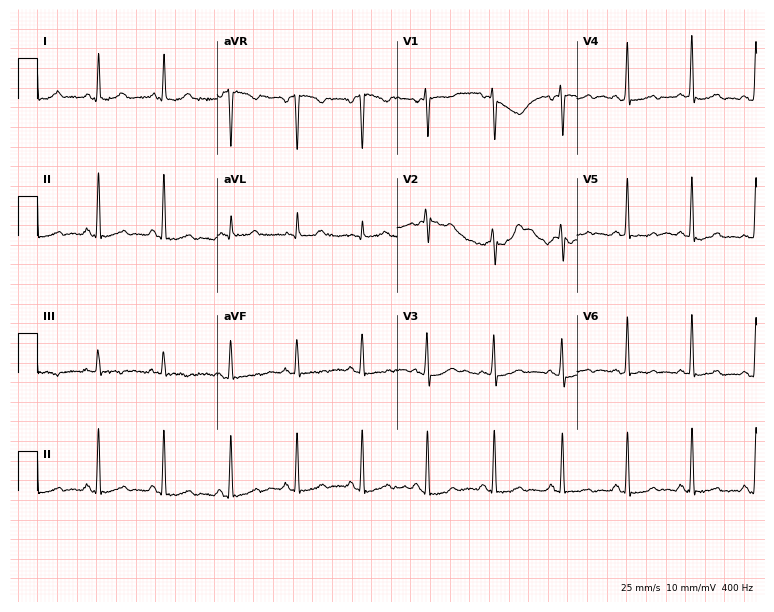
Electrocardiogram, a 40-year-old female patient. Of the six screened findings (first-degree AV block, right bundle branch block, left bundle branch block, sinus bradycardia, atrial fibrillation, sinus tachycardia), none is recorded. Only these six findings were labelled.